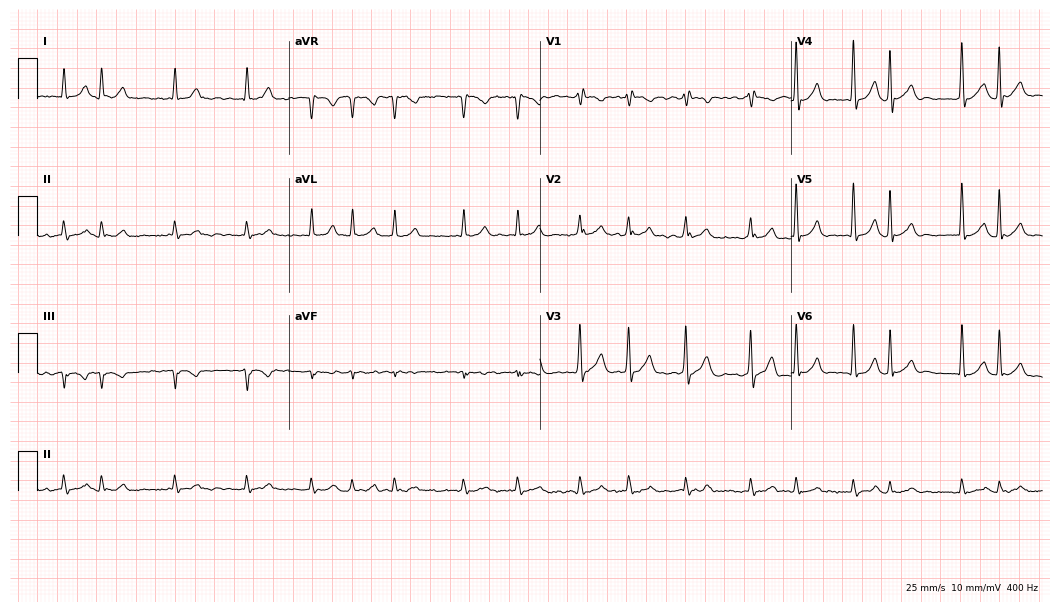
12-lead ECG from a male patient, 80 years old. Shows atrial fibrillation.